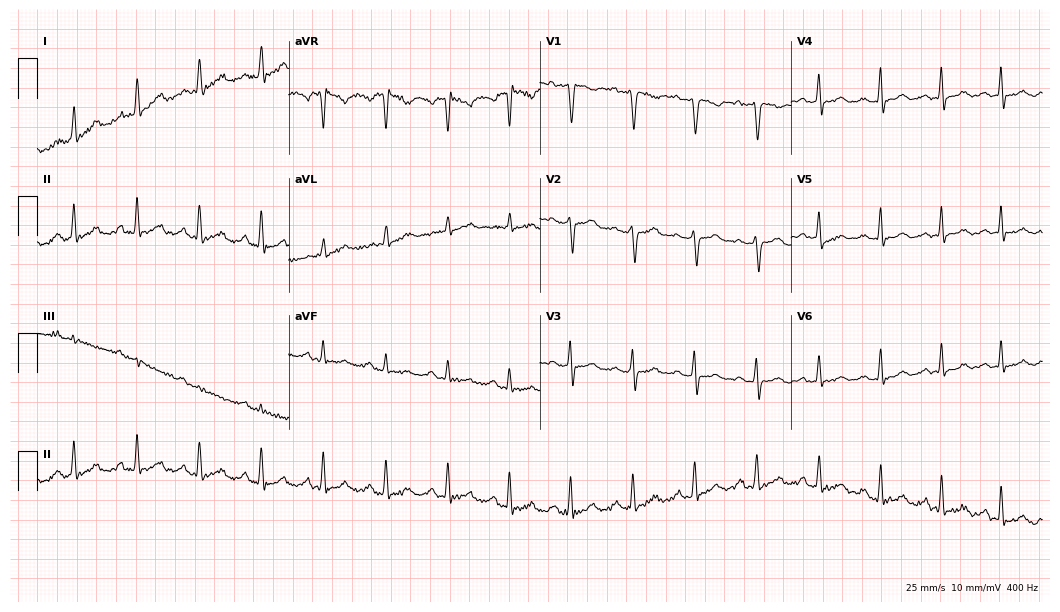
12-lead ECG (10.2-second recording at 400 Hz) from a woman, 34 years old. Labelled as a normal ECG.